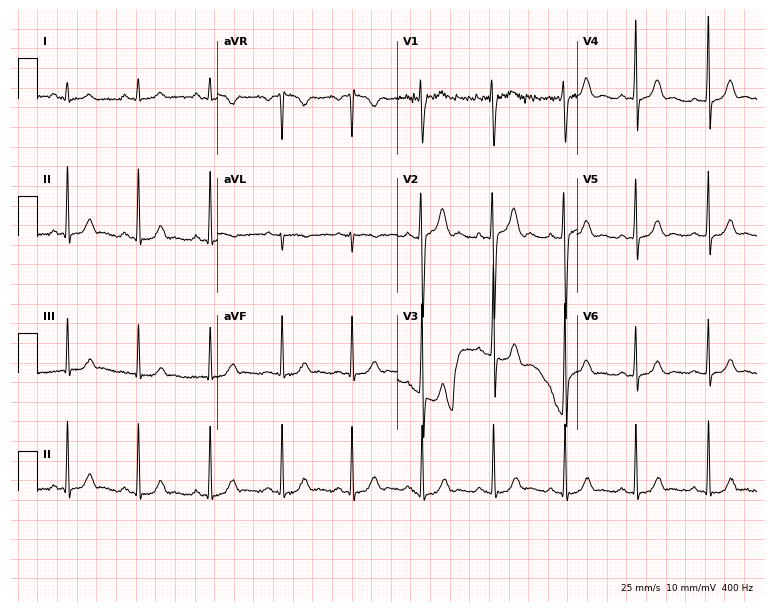
12-lead ECG from a 19-year-old woman. No first-degree AV block, right bundle branch block (RBBB), left bundle branch block (LBBB), sinus bradycardia, atrial fibrillation (AF) or sinus tachycardia recorded for this tracing.